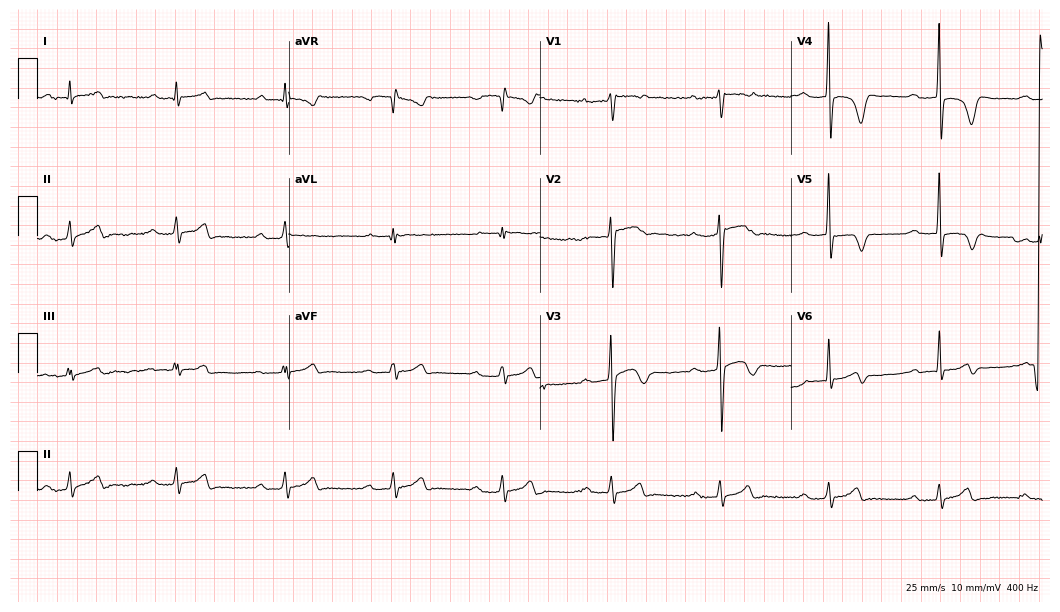
ECG — a 57-year-old male. Screened for six findings — first-degree AV block, right bundle branch block, left bundle branch block, sinus bradycardia, atrial fibrillation, sinus tachycardia — none is recorded.